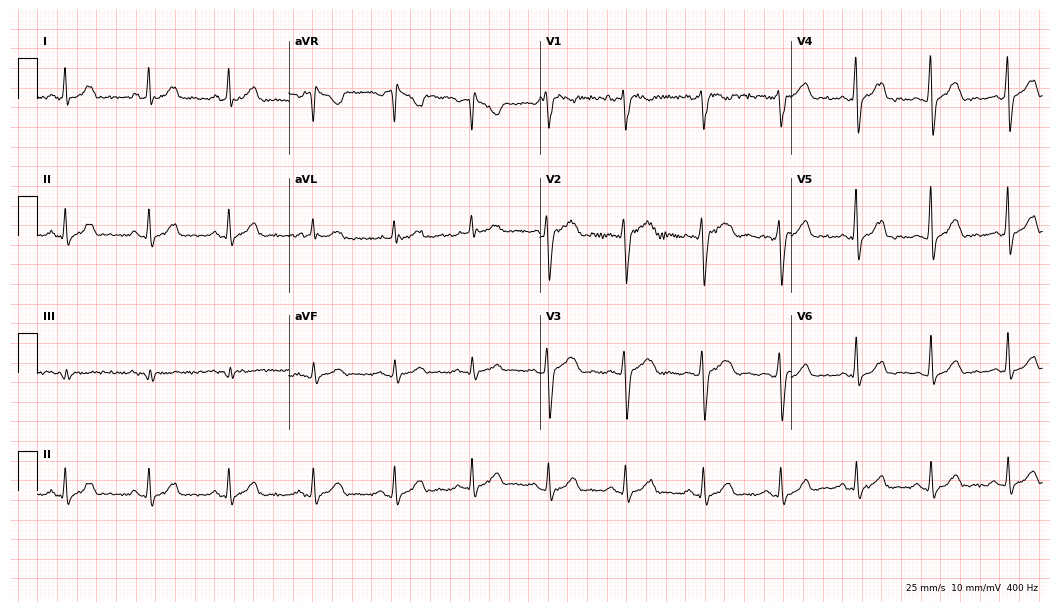
ECG (10.2-second recording at 400 Hz) — a woman, 33 years old. Screened for six findings — first-degree AV block, right bundle branch block, left bundle branch block, sinus bradycardia, atrial fibrillation, sinus tachycardia — none is recorded.